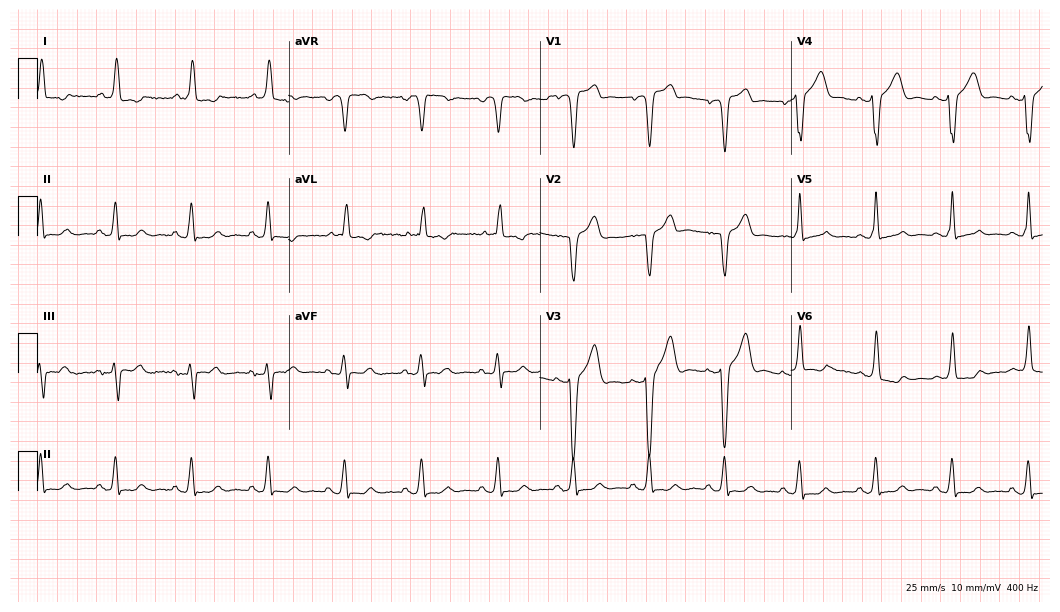
Resting 12-lead electrocardiogram. Patient: a male, 77 years old. None of these six findings is recorded: first-degree AV block, right bundle branch block (RBBB), left bundle branch block (LBBB), sinus bradycardia, atrial fibrillation (AF), sinus tachycardia. Other findings, if any, are not listed.